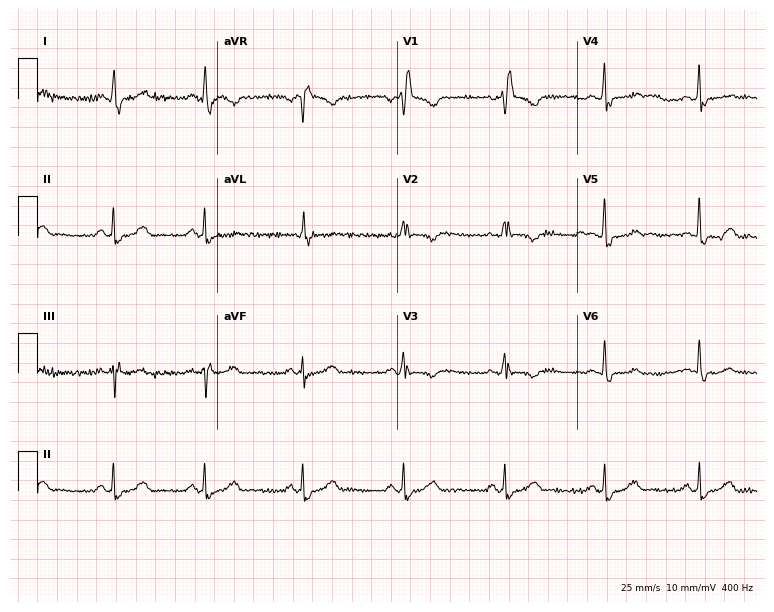
Standard 12-lead ECG recorded from a female patient, 48 years old (7.3-second recording at 400 Hz). The tracing shows right bundle branch block (RBBB).